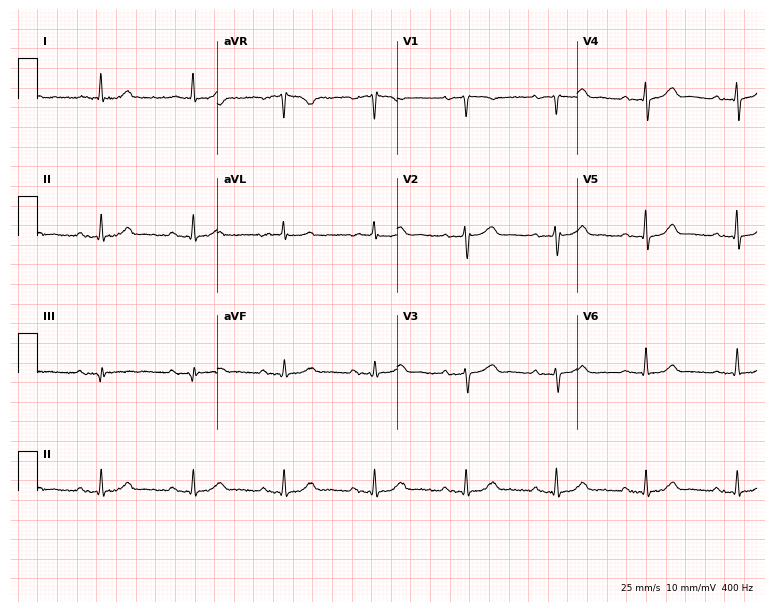
Electrocardiogram, a female patient, 88 years old. Of the six screened findings (first-degree AV block, right bundle branch block (RBBB), left bundle branch block (LBBB), sinus bradycardia, atrial fibrillation (AF), sinus tachycardia), none is recorded.